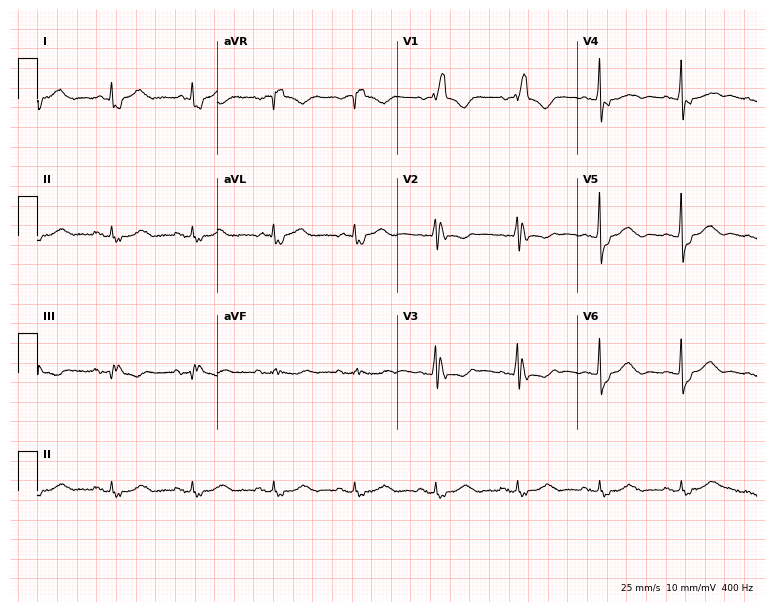
Electrocardiogram (7.3-second recording at 400 Hz), a female, 77 years old. Interpretation includes right bundle branch block.